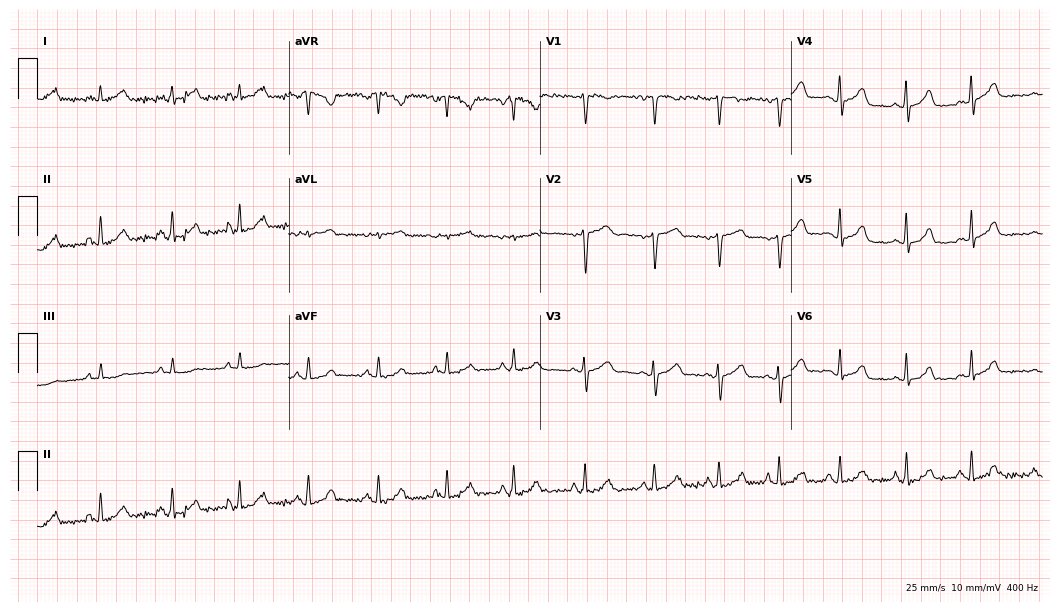
12-lead ECG from a 36-year-old woman. Screened for six findings — first-degree AV block, right bundle branch block (RBBB), left bundle branch block (LBBB), sinus bradycardia, atrial fibrillation (AF), sinus tachycardia — none is recorded. Other findings, if any, are not listed.